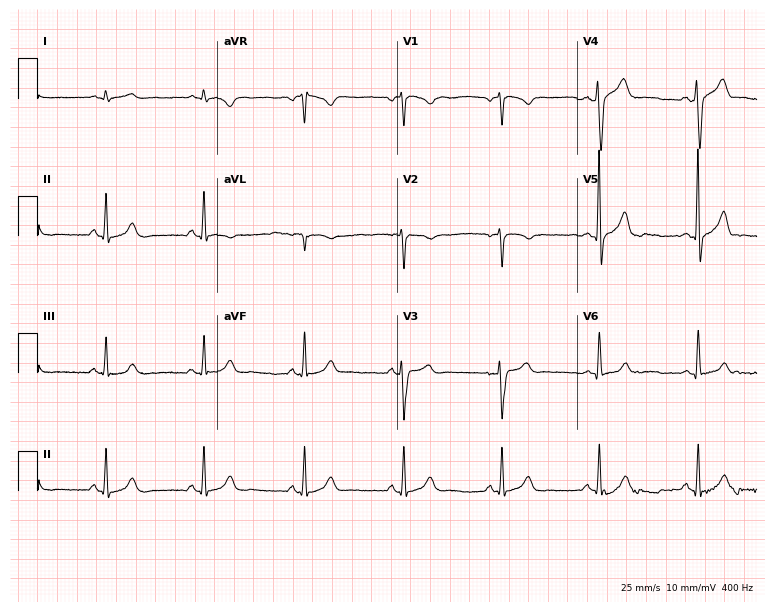
Resting 12-lead electrocardiogram (7.3-second recording at 400 Hz). Patient: a 34-year-old male. Read as a normal ECG.